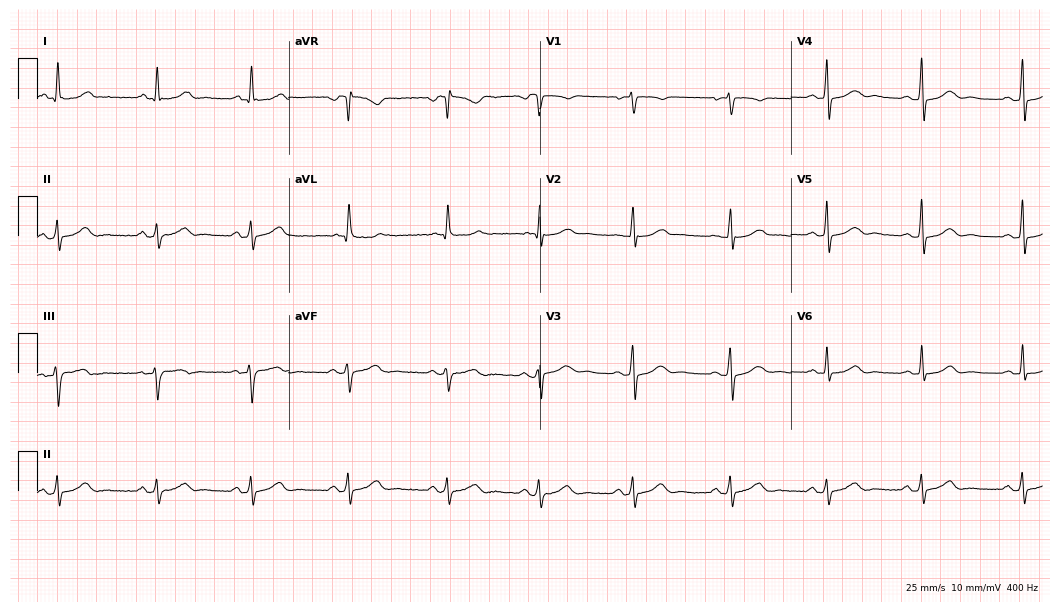
Standard 12-lead ECG recorded from a 39-year-old female patient. Read as a normal ECG.